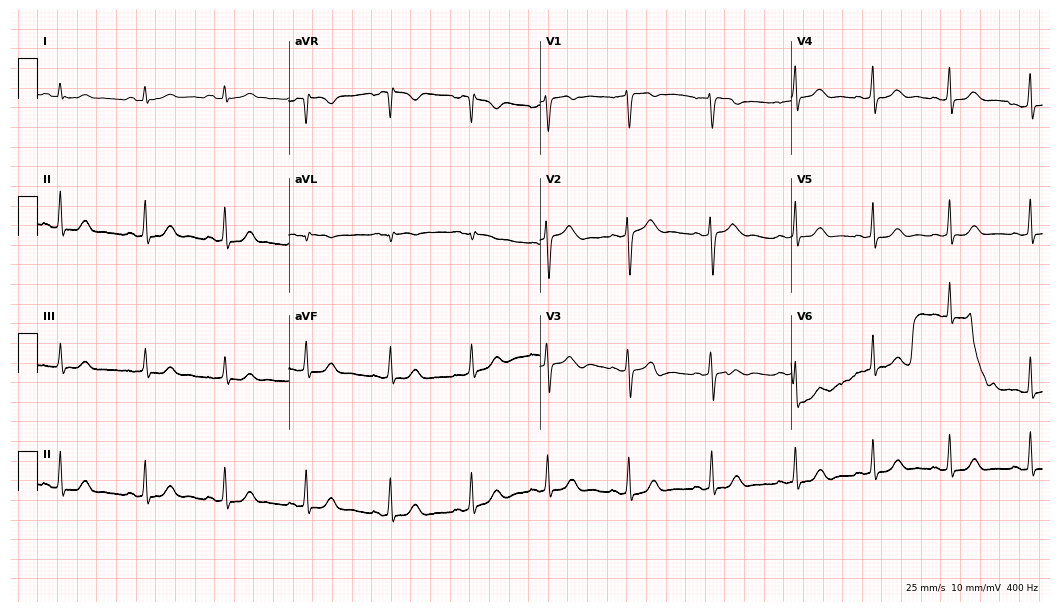
Standard 12-lead ECG recorded from a 24-year-old woman. Read as a normal ECG.